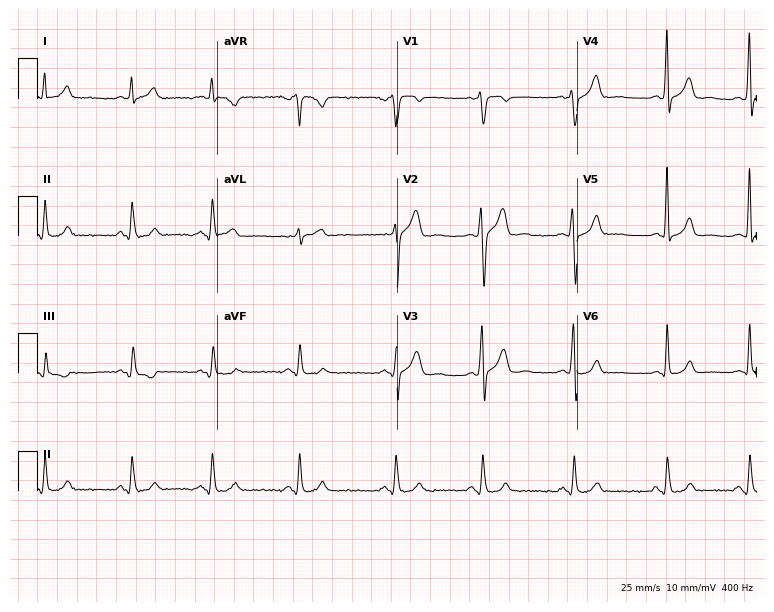
12-lead ECG from a male patient, 24 years old (7.3-second recording at 400 Hz). No first-degree AV block, right bundle branch block, left bundle branch block, sinus bradycardia, atrial fibrillation or sinus tachycardia recorded for this tracing.